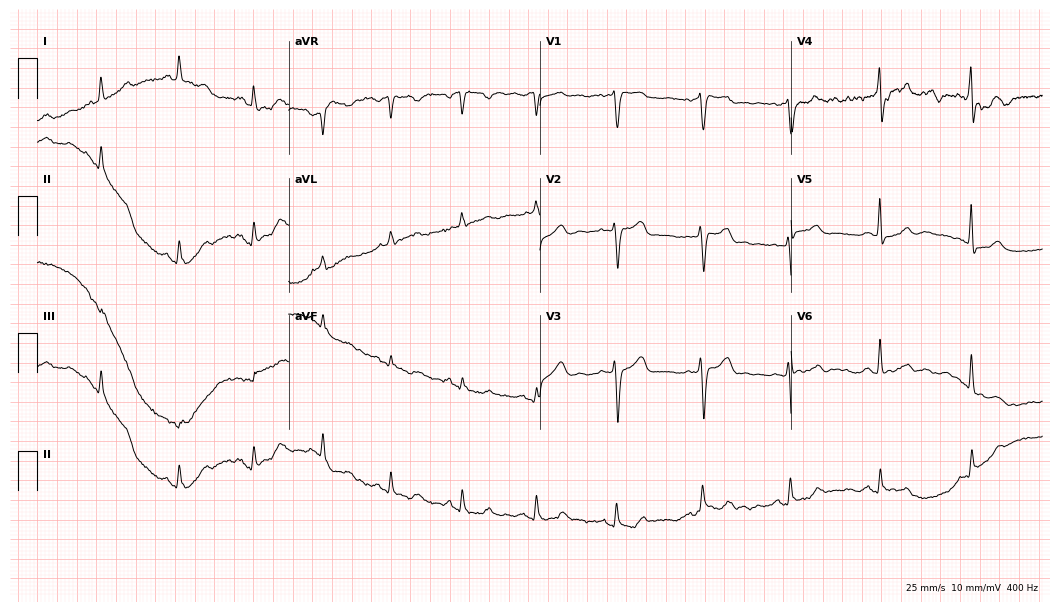
ECG (10.2-second recording at 400 Hz) — a male patient, 56 years old. Screened for six findings — first-degree AV block, right bundle branch block, left bundle branch block, sinus bradycardia, atrial fibrillation, sinus tachycardia — none is recorded.